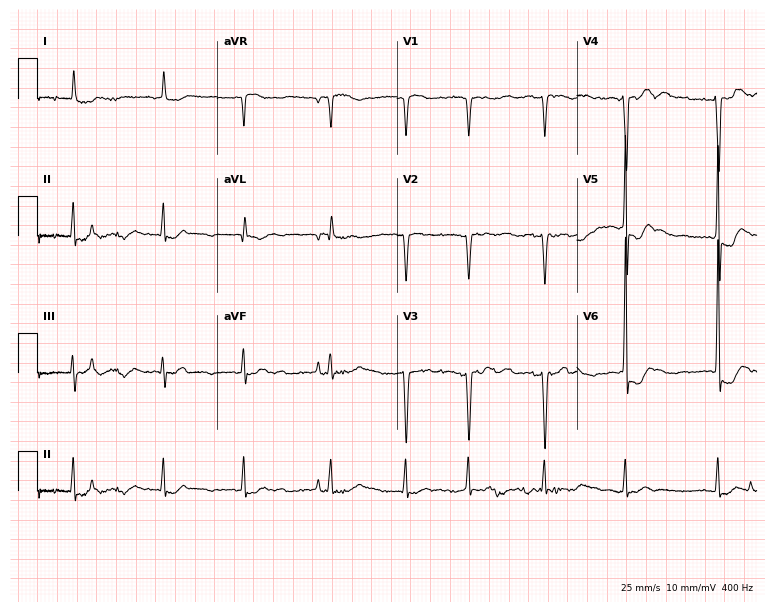
Electrocardiogram (7.3-second recording at 400 Hz), a woman, 70 years old. Interpretation includes atrial fibrillation.